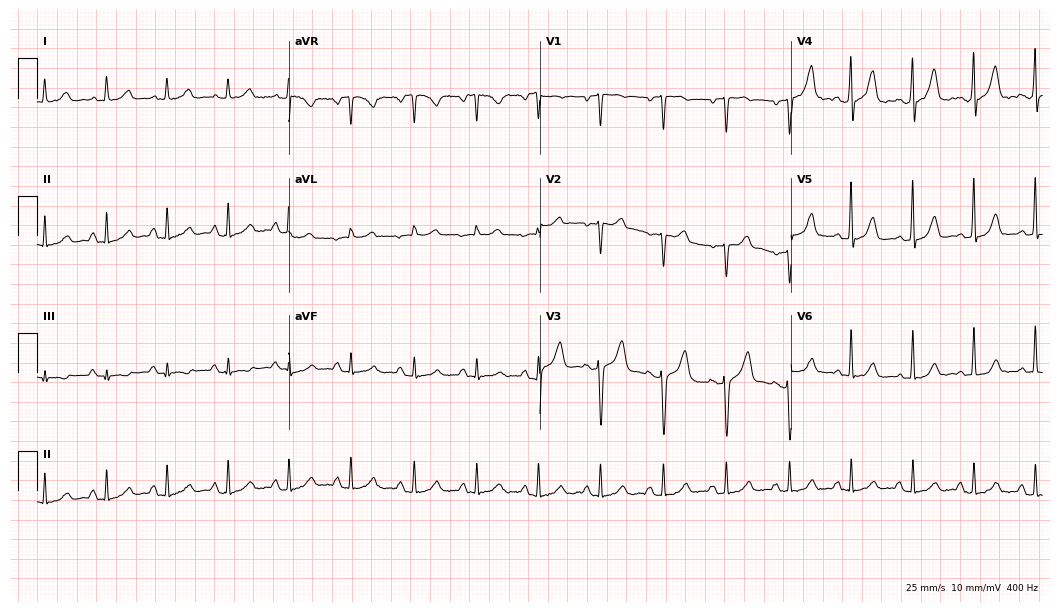
Resting 12-lead electrocardiogram. Patient: a 56-year-old female. Read as a normal ECG.